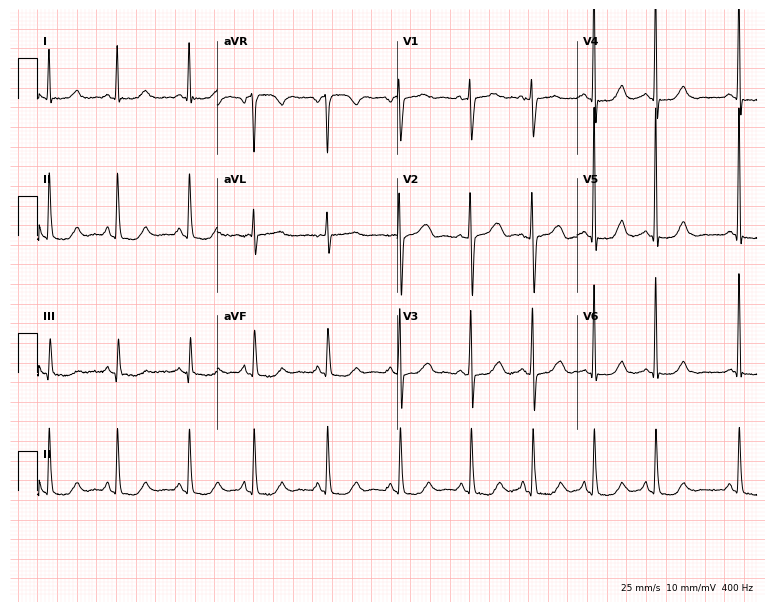
12-lead ECG (7.3-second recording at 400 Hz) from a 62-year-old female. Labelled as a normal ECG.